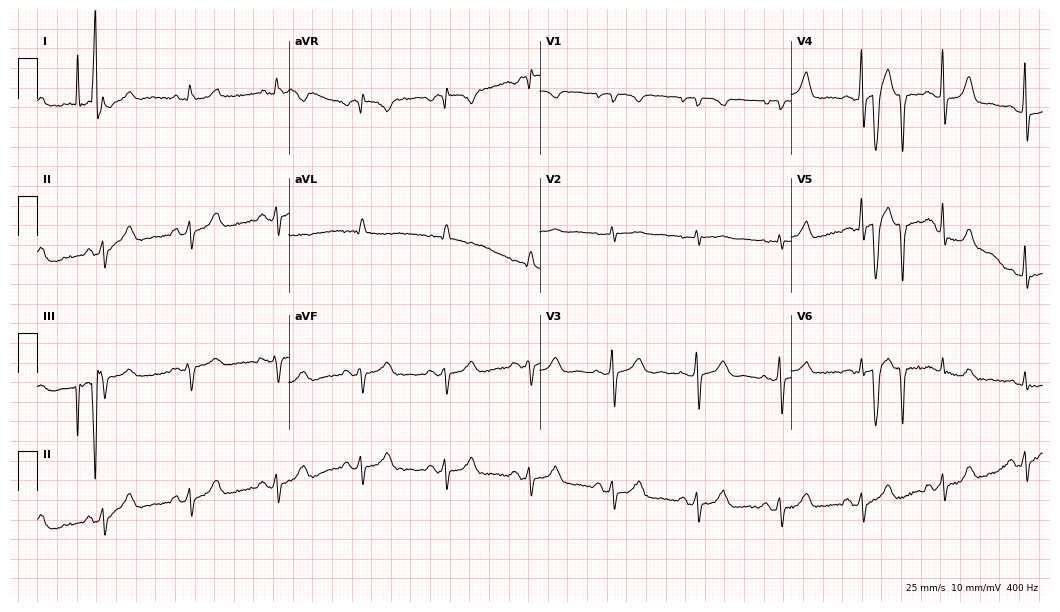
12-lead ECG from a 79-year-old female (10.2-second recording at 400 Hz). No first-degree AV block, right bundle branch block (RBBB), left bundle branch block (LBBB), sinus bradycardia, atrial fibrillation (AF) or sinus tachycardia recorded for this tracing.